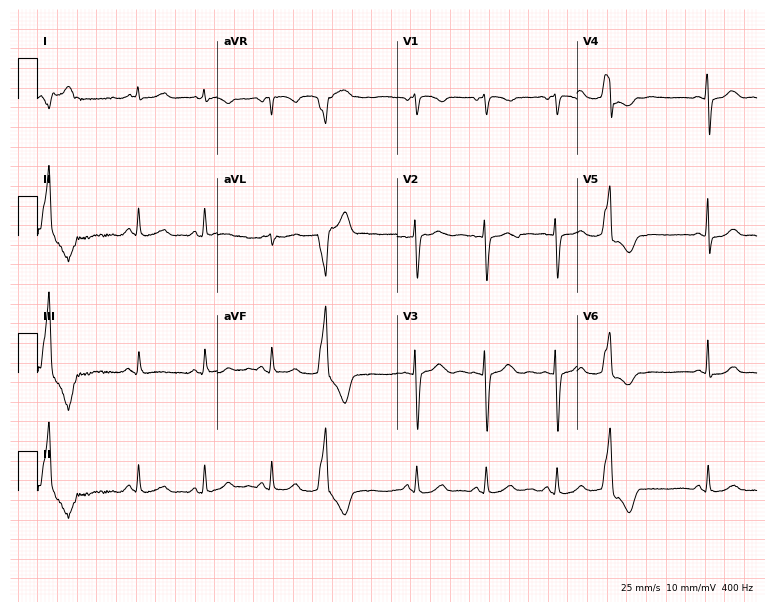
Resting 12-lead electrocardiogram. Patient: a woman, 43 years old. None of these six findings is recorded: first-degree AV block, right bundle branch block (RBBB), left bundle branch block (LBBB), sinus bradycardia, atrial fibrillation (AF), sinus tachycardia.